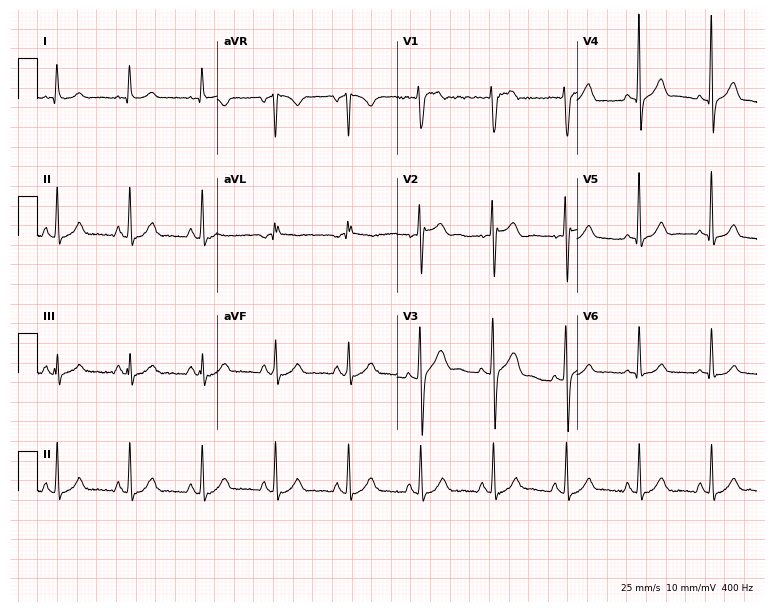
ECG (7.3-second recording at 400 Hz) — a 21-year-old male. Labelled as a normal ECG.